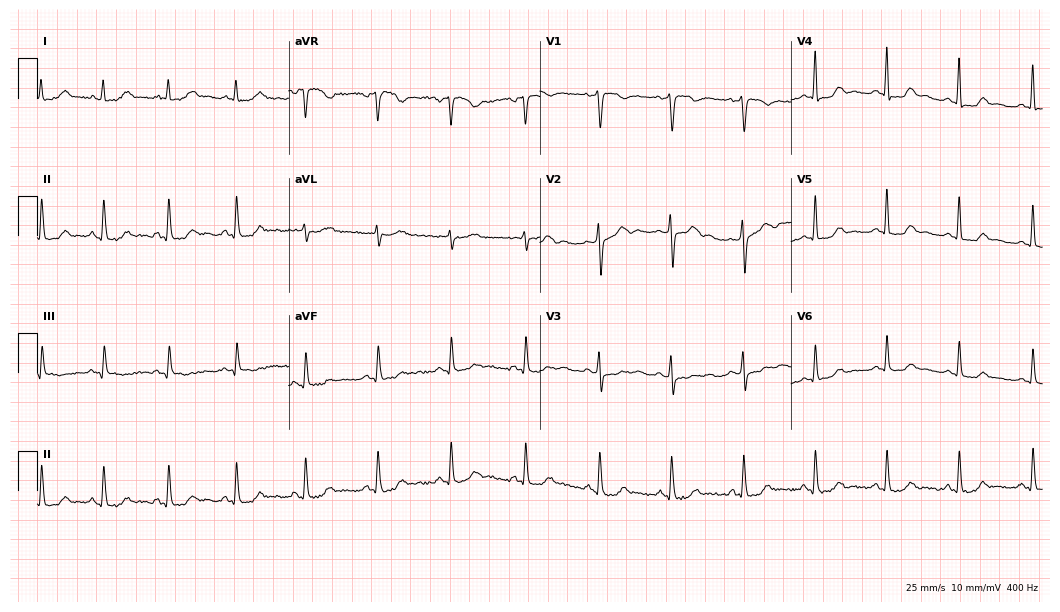
Standard 12-lead ECG recorded from a 61-year-old woman. Read as a normal ECG.